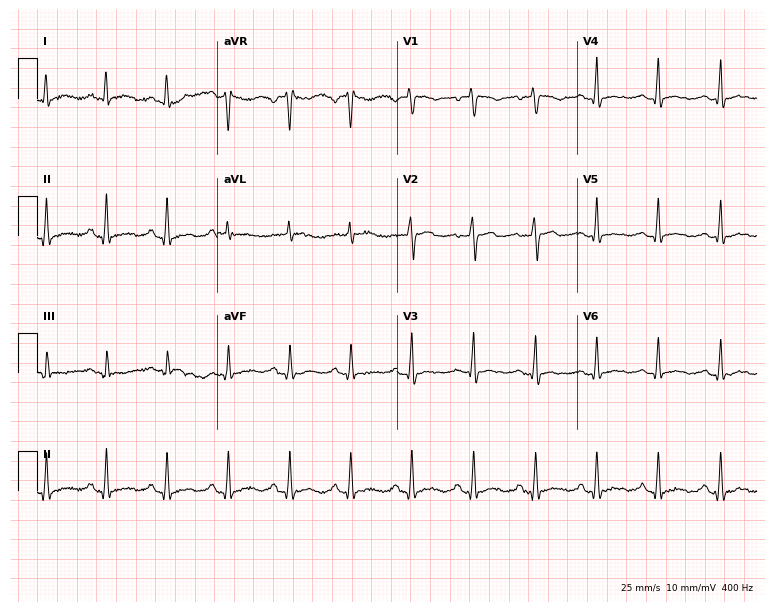
12-lead ECG from a female, 47 years old. Screened for six findings — first-degree AV block, right bundle branch block, left bundle branch block, sinus bradycardia, atrial fibrillation, sinus tachycardia — none is recorded.